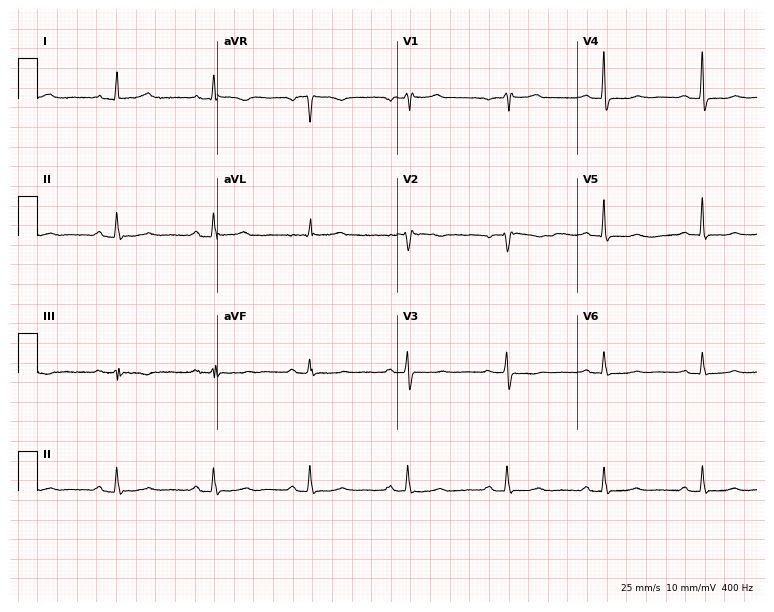
Electrocardiogram, a 67-year-old female. Of the six screened findings (first-degree AV block, right bundle branch block, left bundle branch block, sinus bradycardia, atrial fibrillation, sinus tachycardia), none is recorded.